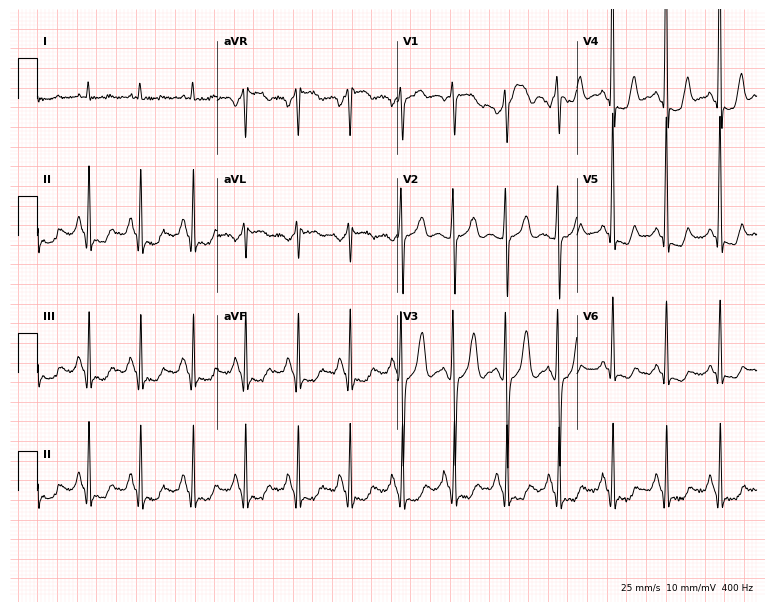
Resting 12-lead electrocardiogram (7.3-second recording at 400 Hz). Patient: a man, 55 years old. The tracing shows sinus tachycardia (a sinus rate of 100 beats per minute or more).